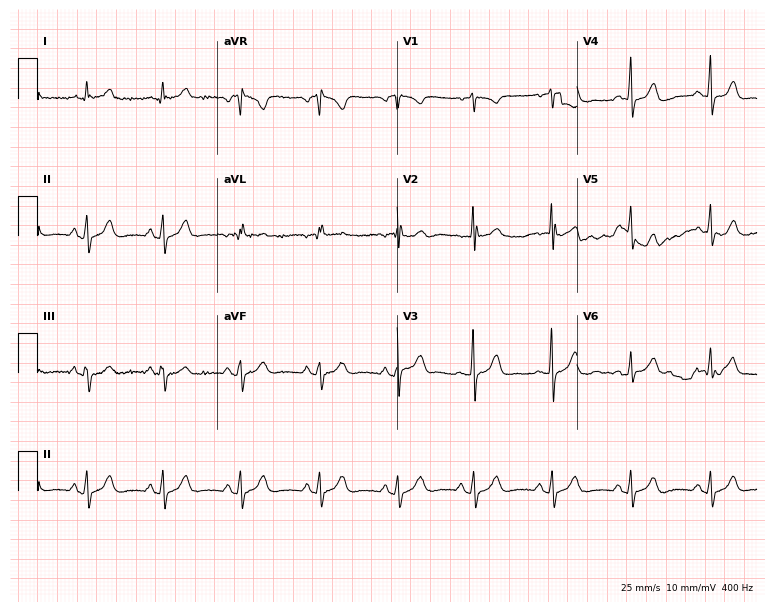
ECG — a 39-year-old female patient. Screened for six findings — first-degree AV block, right bundle branch block (RBBB), left bundle branch block (LBBB), sinus bradycardia, atrial fibrillation (AF), sinus tachycardia — none is recorded.